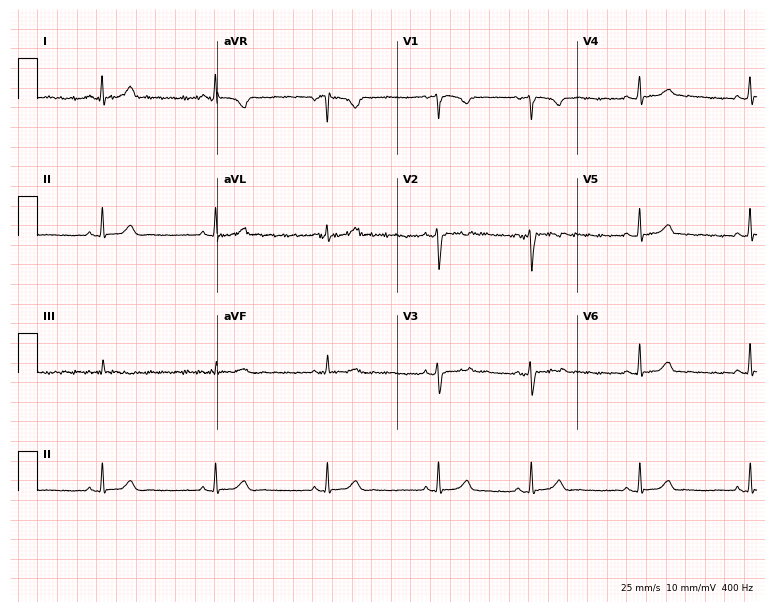
Resting 12-lead electrocardiogram. Patient: a 24-year-old female. None of these six findings is recorded: first-degree AV block, right bundle branch block (RBBB), left bundle branch block (LBBB), sinus bradycardia, atrial fibrillation (AF), sinus tachycardia. Other findings, if any, are not listed.